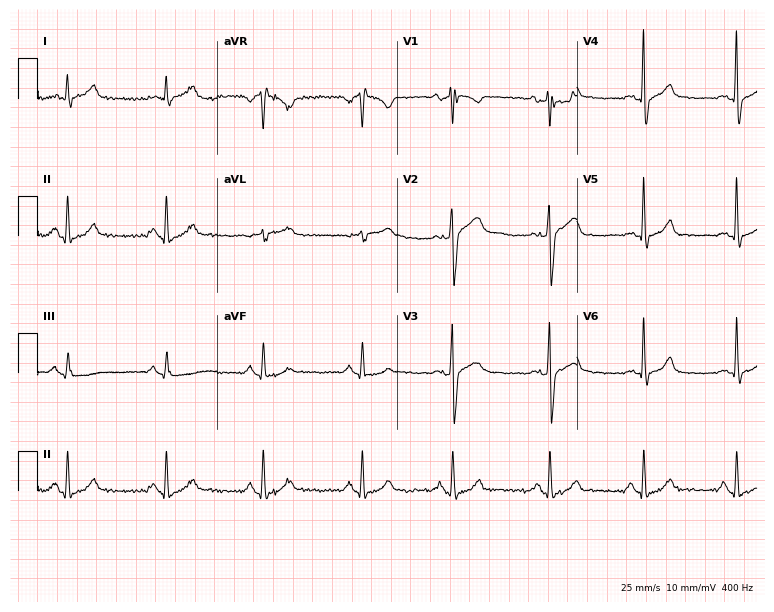
Standard 12-lead ECG recorded from a male, 42 years old (7.3-second recording at 400 Hz). Read as a normal ECG.